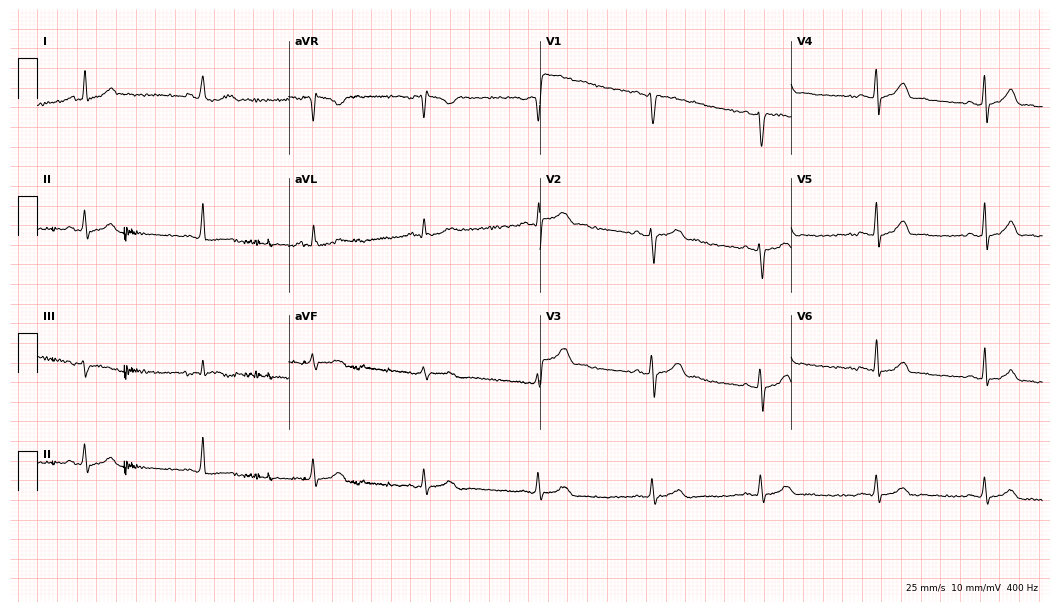
Standard 12-lead ECG recorded from a 30-year-old male patient (10.2-second recording at 400 Hz). Read as a normal ECG.